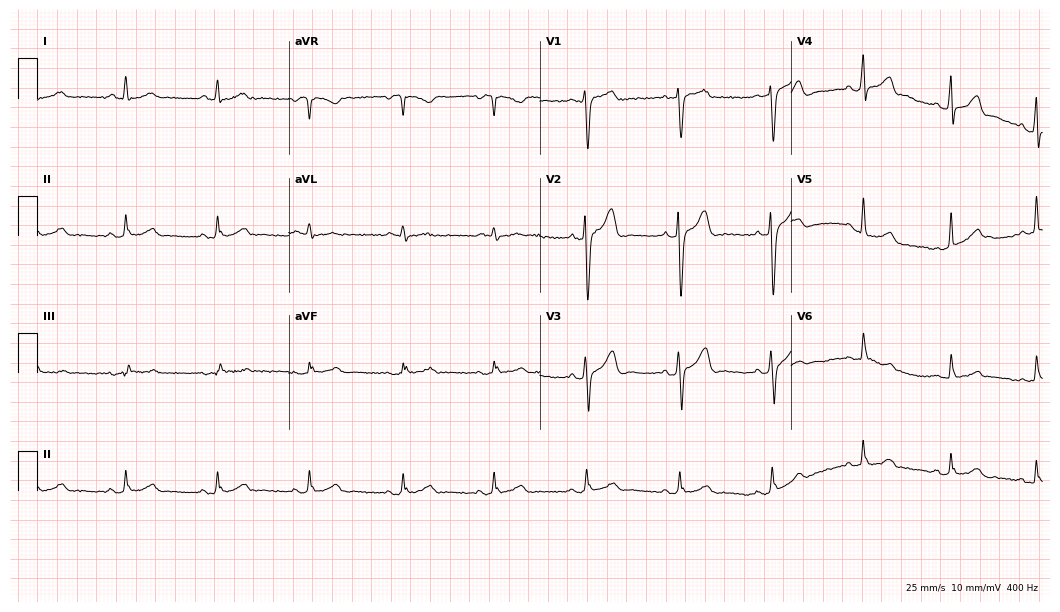
Resting 12-lead electrocardiogram (10.2-second recording at 400 Hz). Patient: a man, 32 years old. Read as a normal ECG.